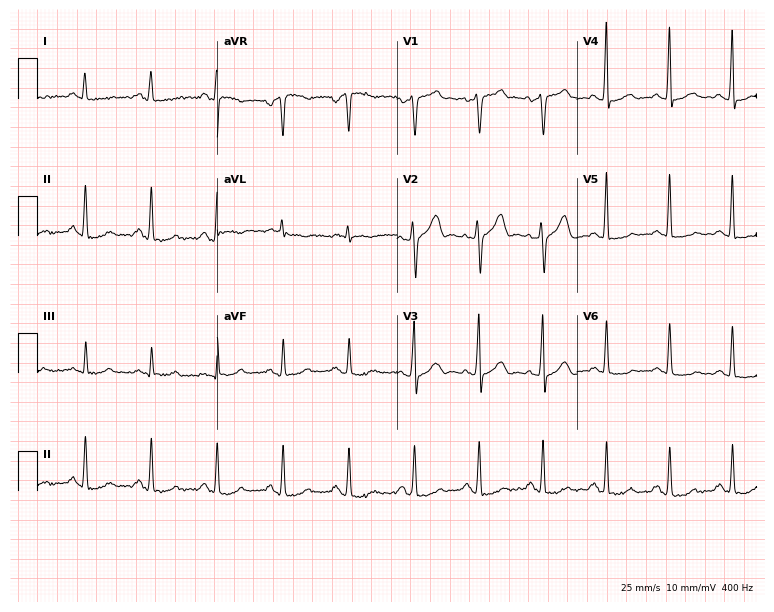
12-lead ECG from a male, 52 years old. Screened for six findings — first-degree AV block, right bundle branch block, left bundle branch block, sinus bradycardia, atrial fibrillation, sinus tachycardia — none is recorded.